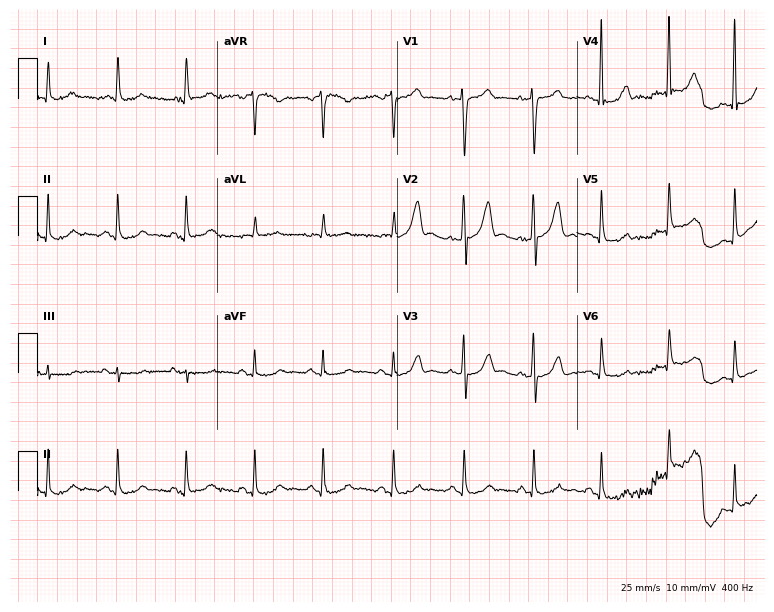
12-lead ECG from a 65-year-old male. No first-degree AV block, right bundle branch block, left bundle branch block, sinus bradycardia, atrial fibrillation or sinus tachycardia recorded for this tracing.